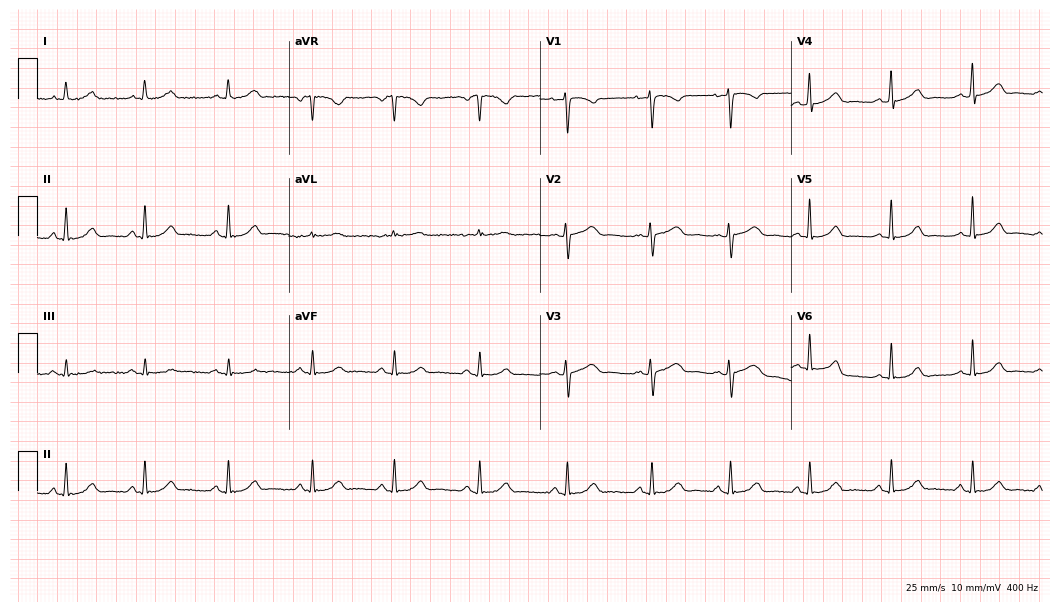
Resting 12-lead electrocardiogram (10.2-second recording at 400 Hz). Patient: a female, 40 years old. Read as a normal ECG.